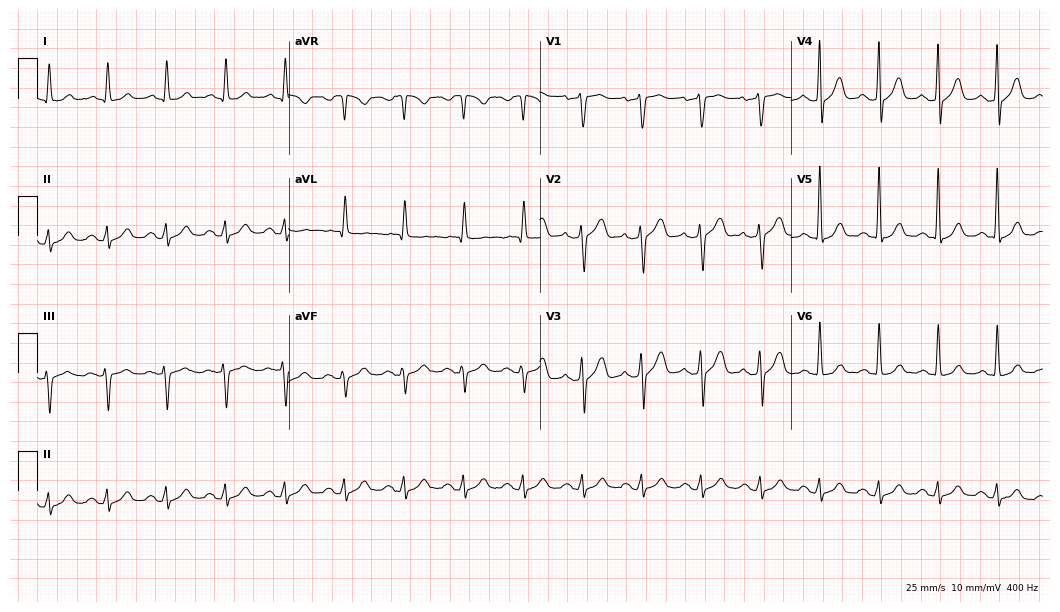
Resting 12-lead electrocardiogram (10.2-second recording at 400 Hz). Patient: a 54-year-old male. Read as a normal ECG.